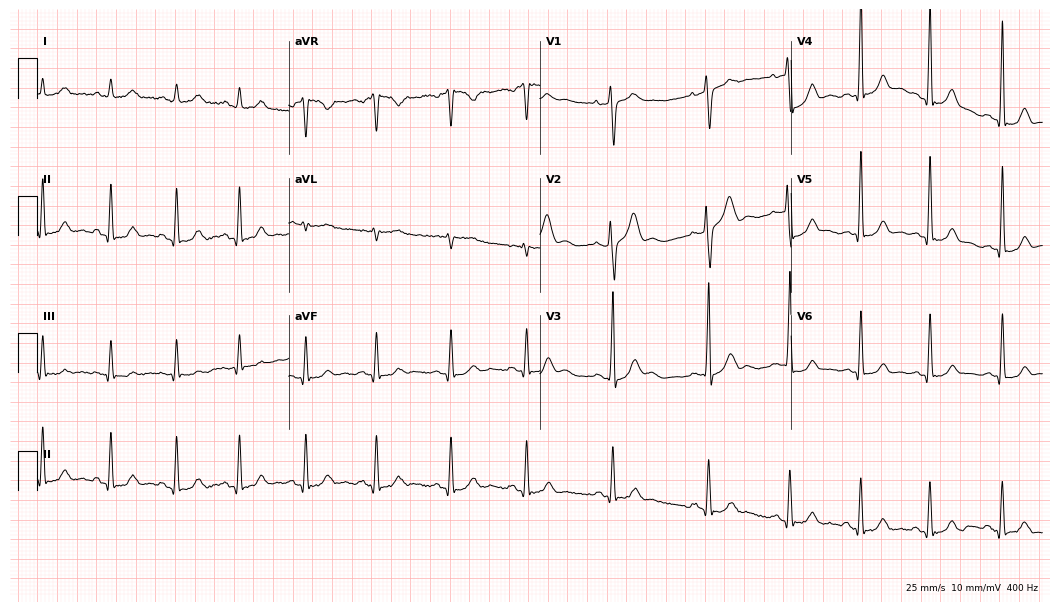
12-lead ECG from a male patient, 34 years old. Screened for six findings — first-degree AV block, right bundle branch block (RBBB), left bundle branch block (LBBB), sinus bradycardia, atrial fibrillation (AF), sinus tachycardia — none is recorded.